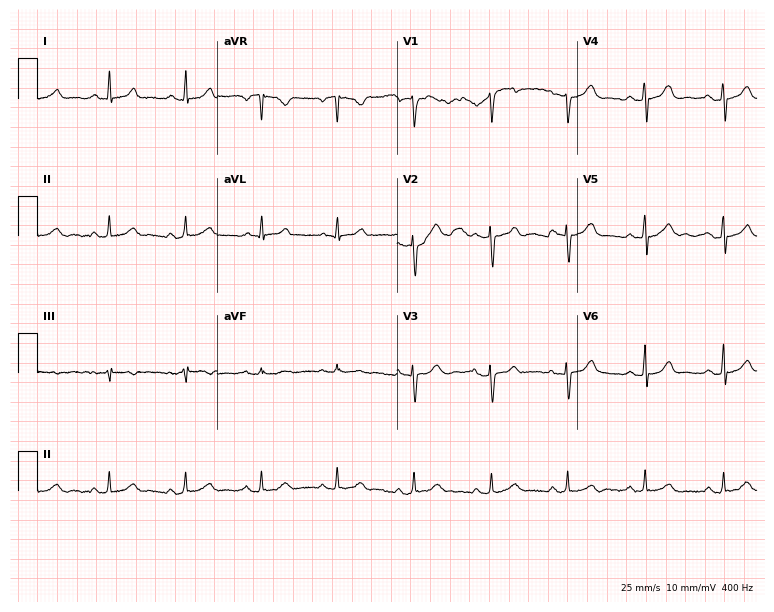
Electrocardiogram (7.3-second recording at 400 Hz), a 38-year-old female patient. Of the six screened findings (first-degree AV block, right bundle branch block, left bundle branch block, sinus bradycardia, atrial fibrillation, sinus tachycardia), none is recorded.